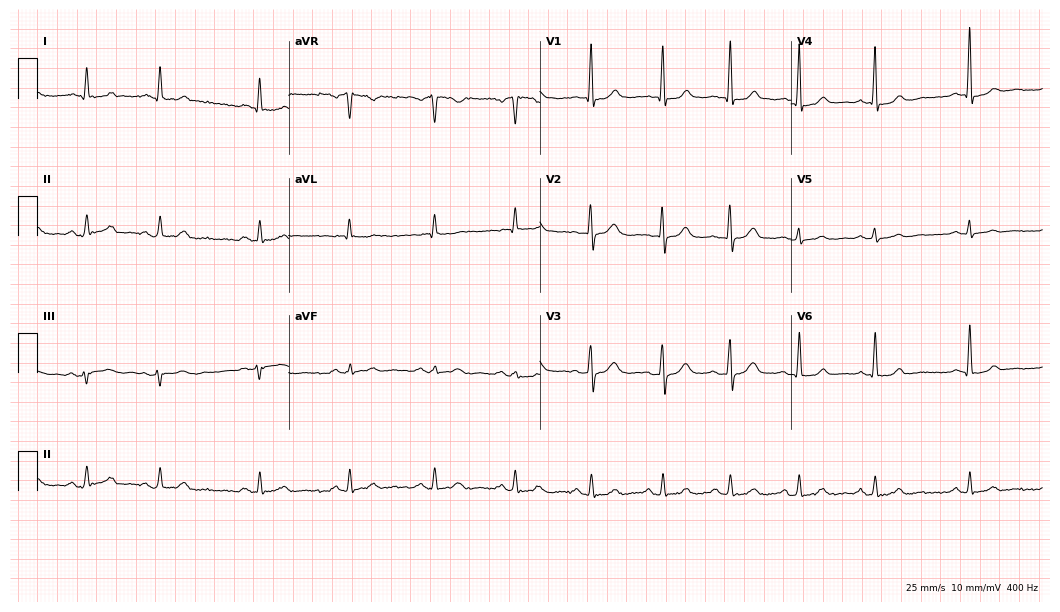
Resting 12-lead electrocardiogram. Patient: a male, 65 years old. None of these six findings is recorded: first-degree AV block, right bundle branch block, left bundle branch block, sinus bradycardia, atrial fibrillation, sinus tachycardia.